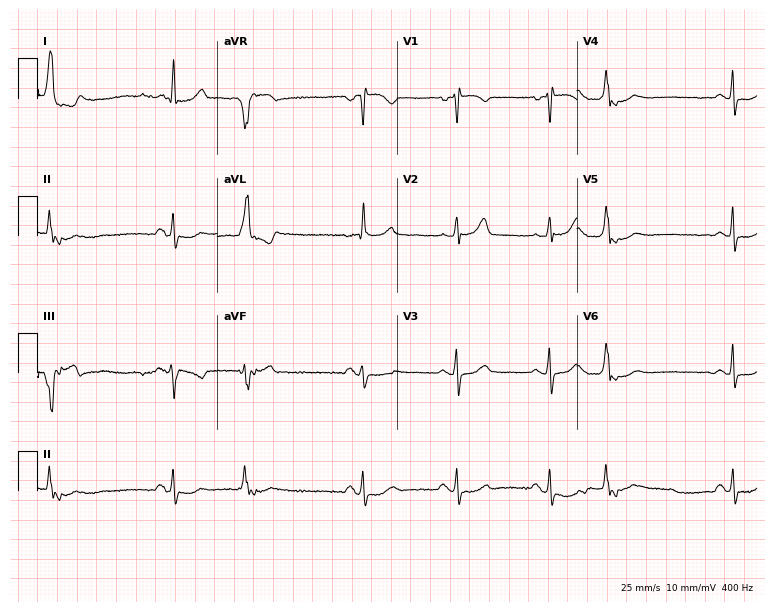
Standard 12-lead ECG recorded from a woman, 66 years old (7.3-second recording at 400 Hz). None of these six findings is recorded: first-degree AV block, right bundle branch block, left bundle branch block, sinus bradycardia, atrial fibrillation, sinus tachycardia.